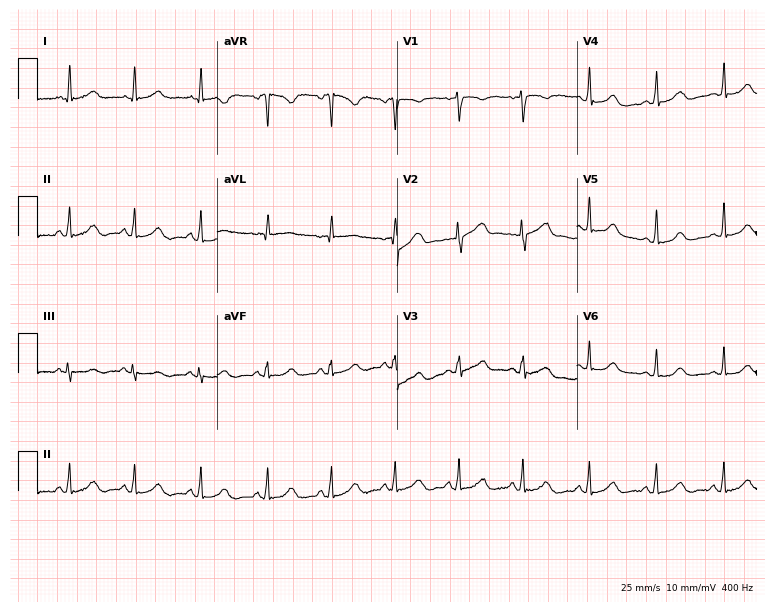
12-lead ECG from a female patient, 29 years old (7.3-second recording at 400 Hz). Recorded interpretation: within normal limits.